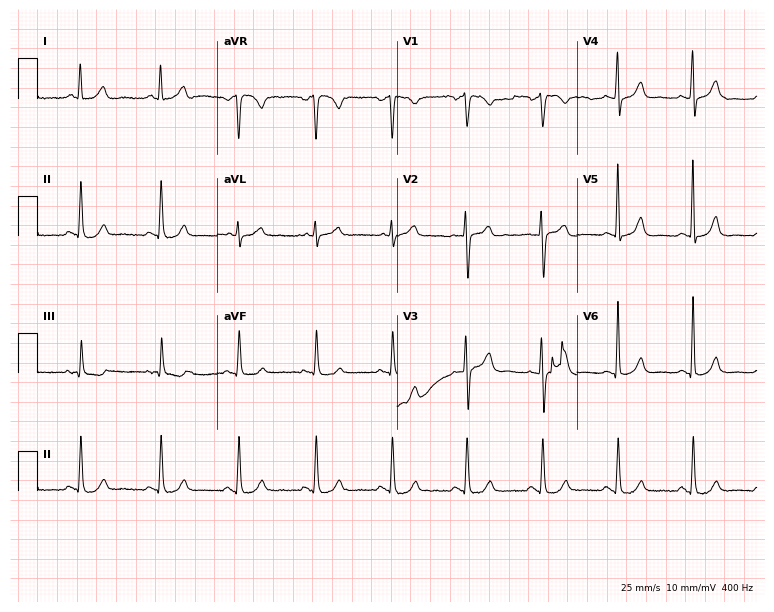
12-lead ECG from a 60-year-old female. Recorded interpretation: within normal limits.